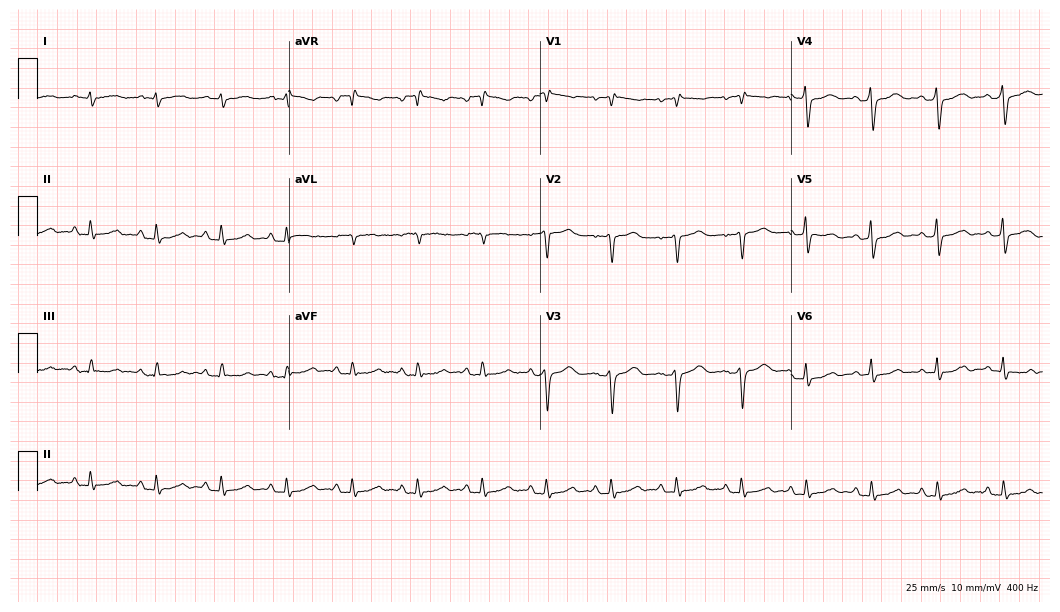
Resting 12-lead electrocardiogram. Patient: a 64-year-old woman. None of these six findings is recorded: first-degree AV block, right bundle branch block, left bundle branch block, sinus bradycardia, atrial fibrillation, sinus tachycardia.